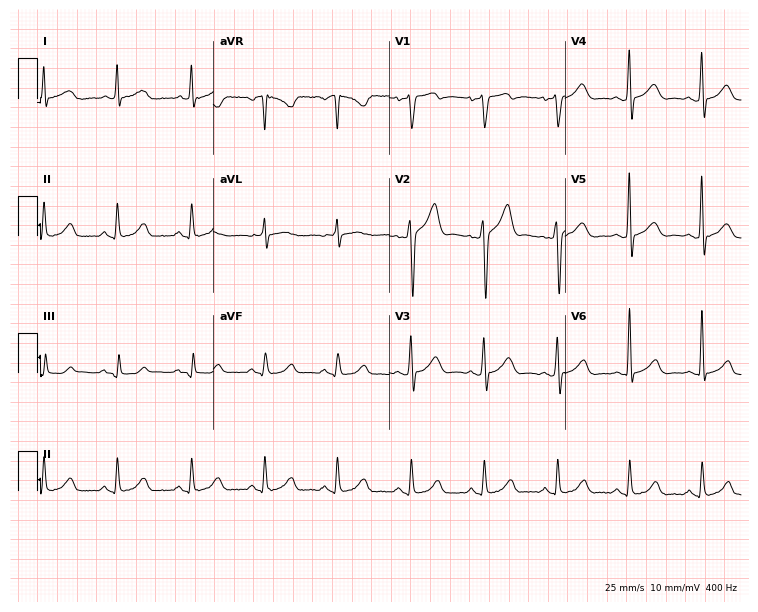
12-lead ECG from a 53-year-old man. No first-degree AV block, right bundle branch block, left bundle branch block, sinus bradycardia, atrial fibrillation or sinus tachycardia recorded for this tracing.